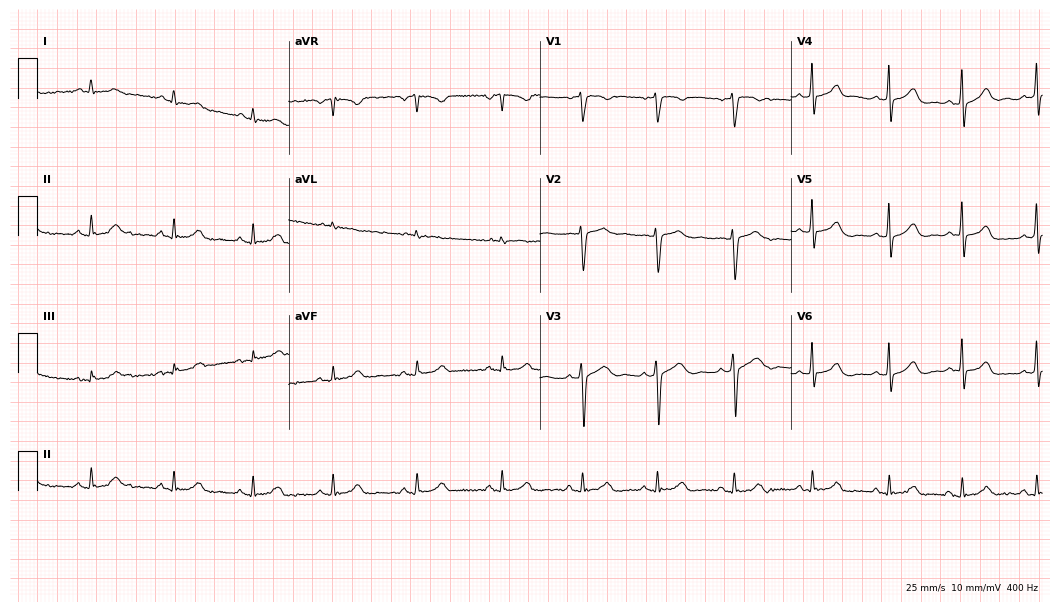
Standard 12-lead ECG recorded from a female, 38 years old. Read as a normal ECG.